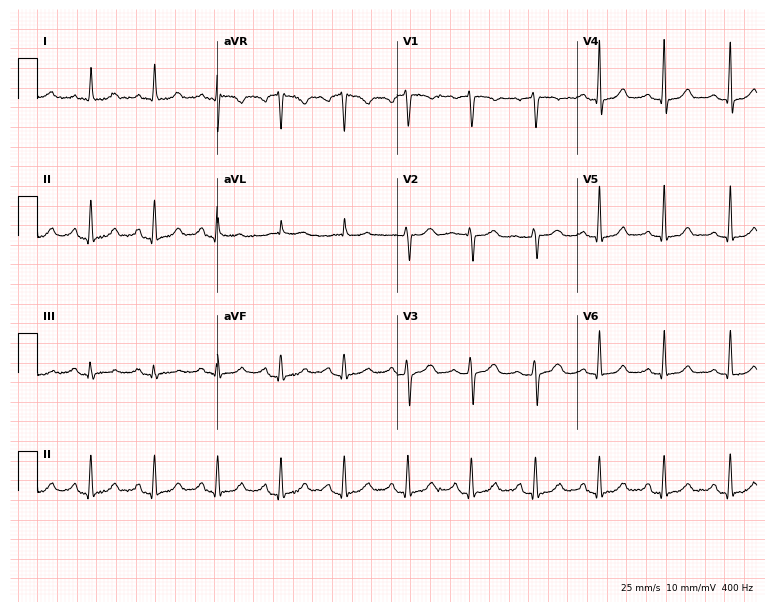
12-lead ECG from a 57-year-old woman. Labelled as a normal ECG.